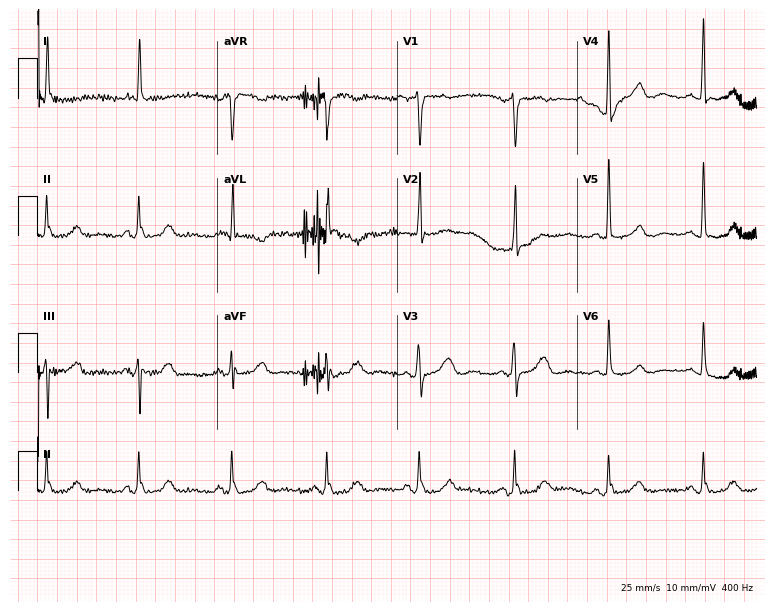
12-lead ECG from an 81-year-old male patient (7.3-second recording at 400 Hz). No first-degree AV block, right bundle branch block, left bundle branch block, sinus bradycardia, atrial fibrillation or sinus tachycardia recorded for this tracing.